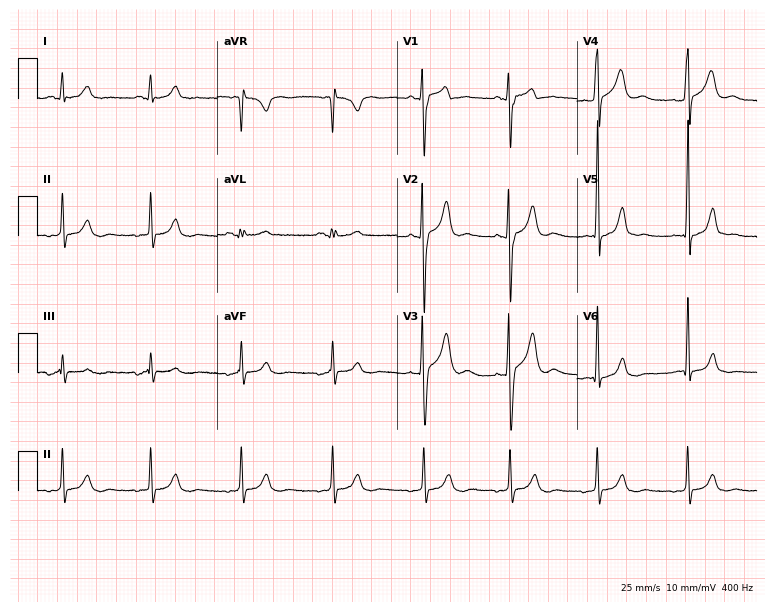
Standard 12-lead ECG recorded from an 18-year-old man. Read as a normal ECG.